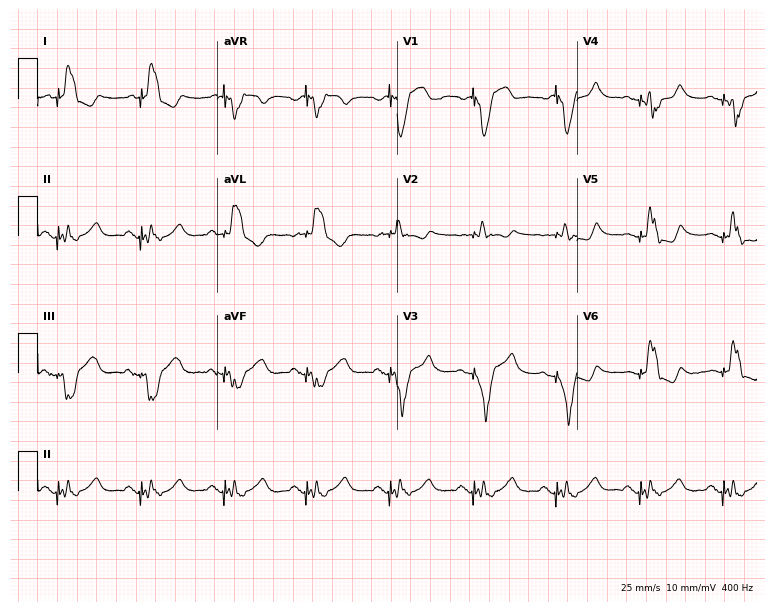
12-lead ECG from a male patient, 73 years old. No first-degree AV block, right bundle branch block, left bundle branch block, sinus bradycardia, atrial fibrillation or sinus tachycardia recorded for this tracing.